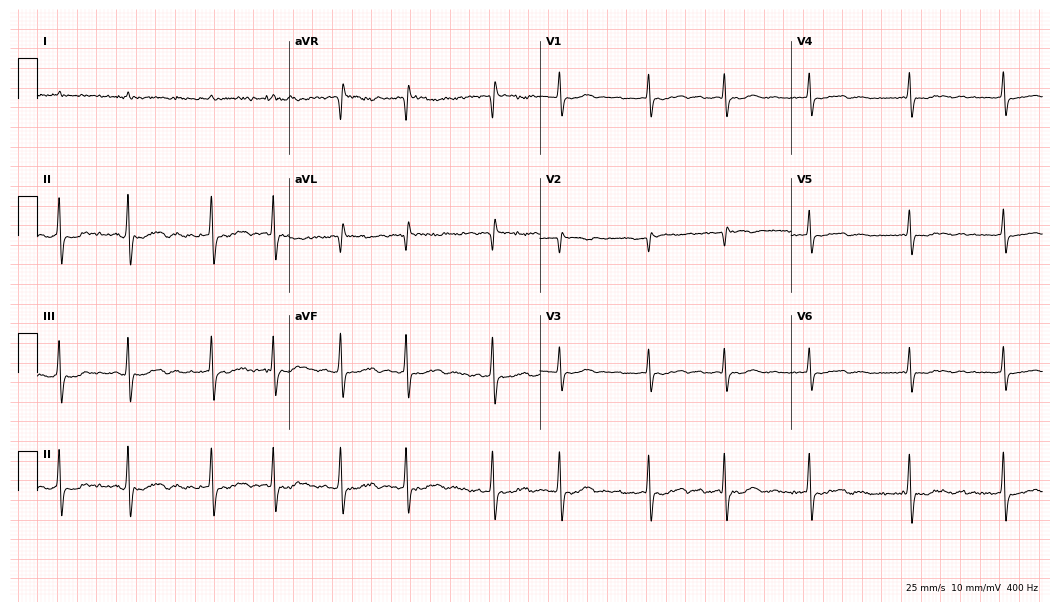
Electrocardiogram (10.2-second recording at 400 Hz), an 84-year-old male patient. Interpretation includes atrial fibrillation (AF).